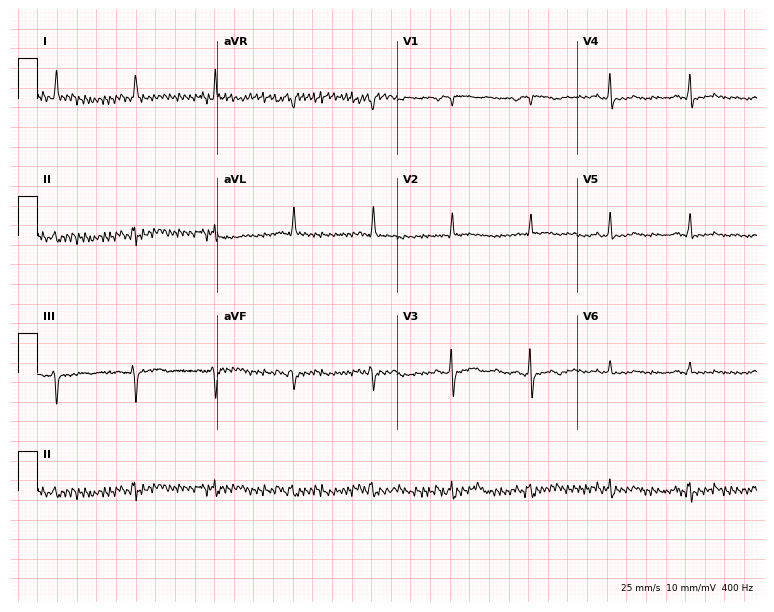
Resting 12-lead electrocardiogram (7.3-second recording at 400 Hz). Patient: a man, 80 years old. None of these six findings is recorded: first-degree AV block, right bundle branch block, left bundle branch block, sinus bradycardia, atrial fibrillation, sinus tachycardia. Findings outside these six are not listed.